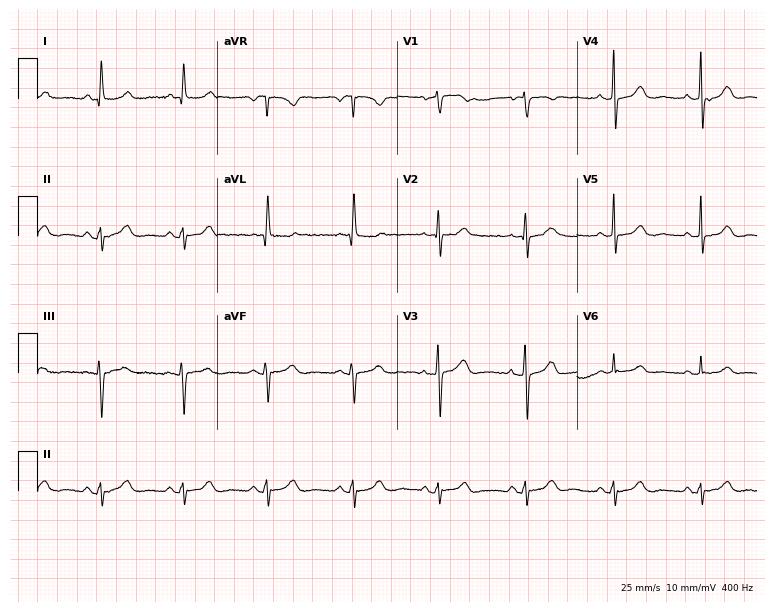
Standard 12-lead ECG recorded from a female patient, 62 years old (7.3-second recording at 400 Hz). Read as a normal ECG.